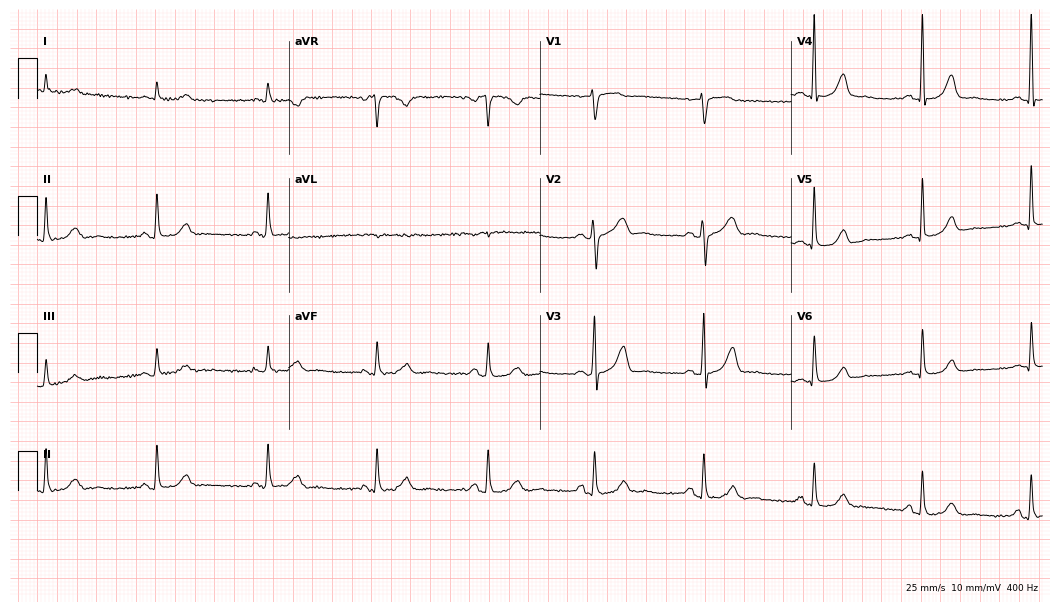
12-lead ECG from a male patient, 72 years old. Labelled as a normal ECG.